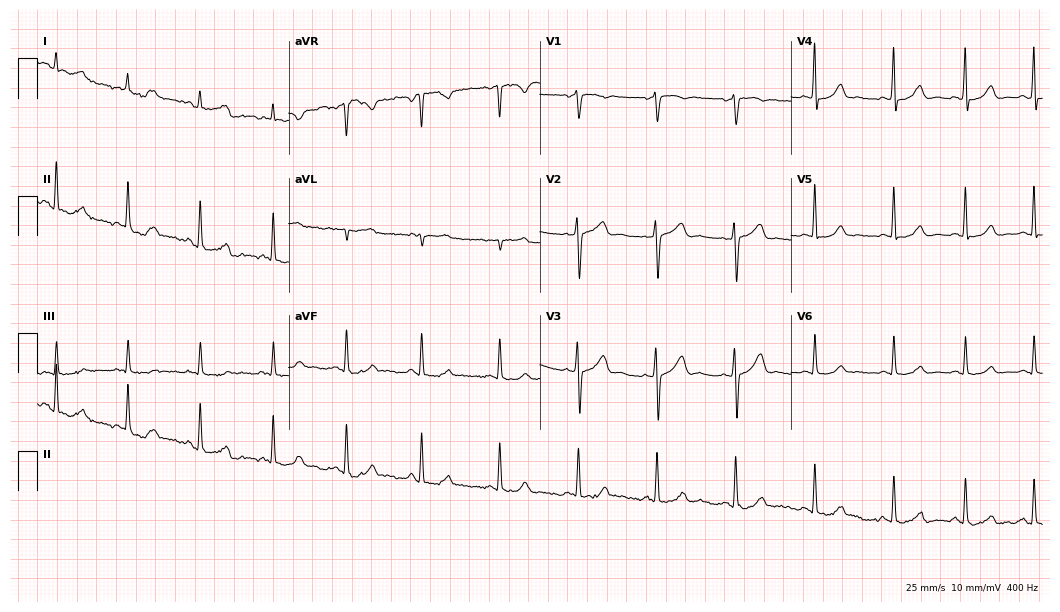
Electrocardiogram, a 40-year-old woman. Of the six screened findings (first-degree AV block, right bundle branch block (RBBB), left bundle branch block (LBBB), sinus bradycardia, atrial fibrillation (AF), sinus tachycardia), none is recorded.